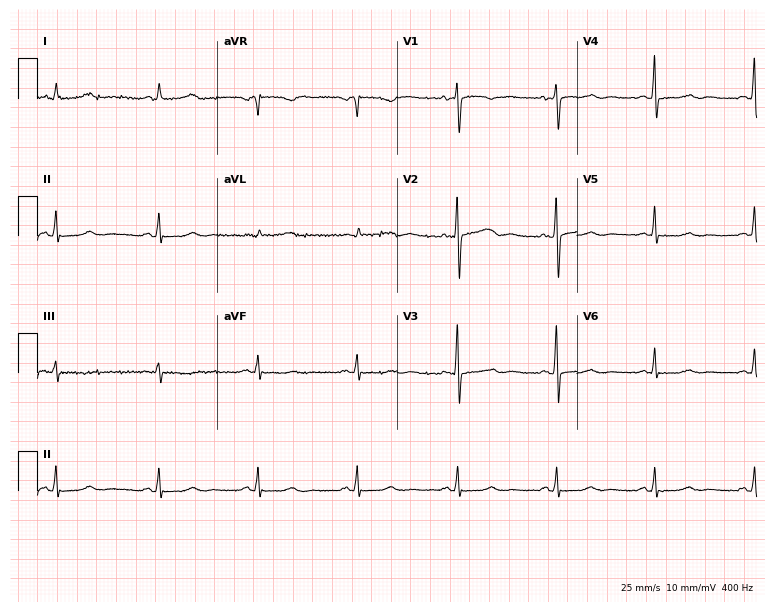
Standard 12-lead ECG recorded from a female, 60 years old. None of these six findings is recorded: first-degree AV block, right bundle branch block (RBBB), left bundle branch block (LBBB), sinus bradycardia, atrial fibrillation (AF), sinus tachycardia.